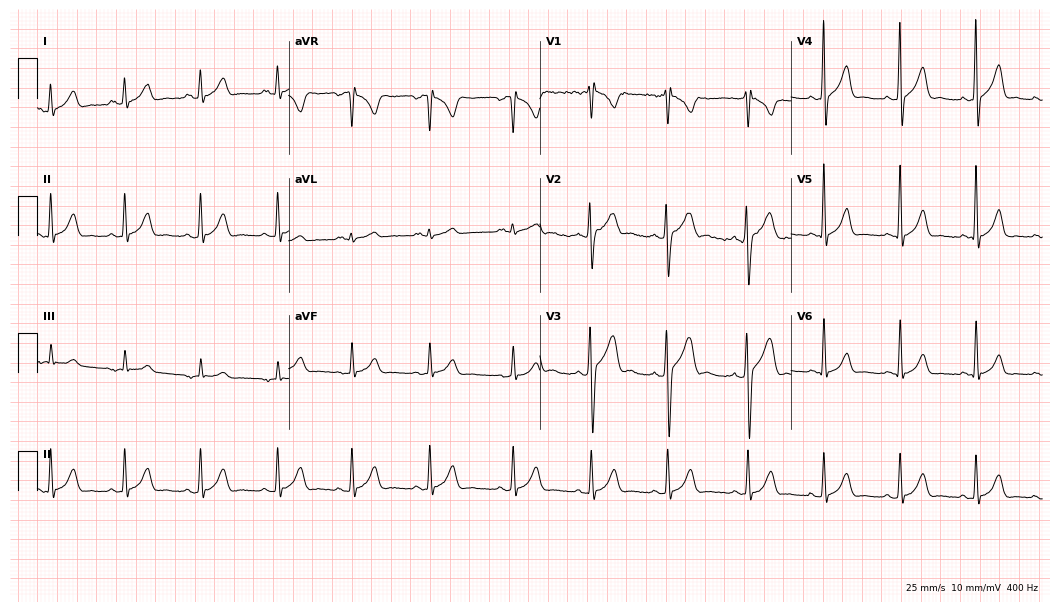
12-lead ECG (10.2-second recording at 400 Hz) from a male patient, 20 years old. Labelled as a normal ECG.